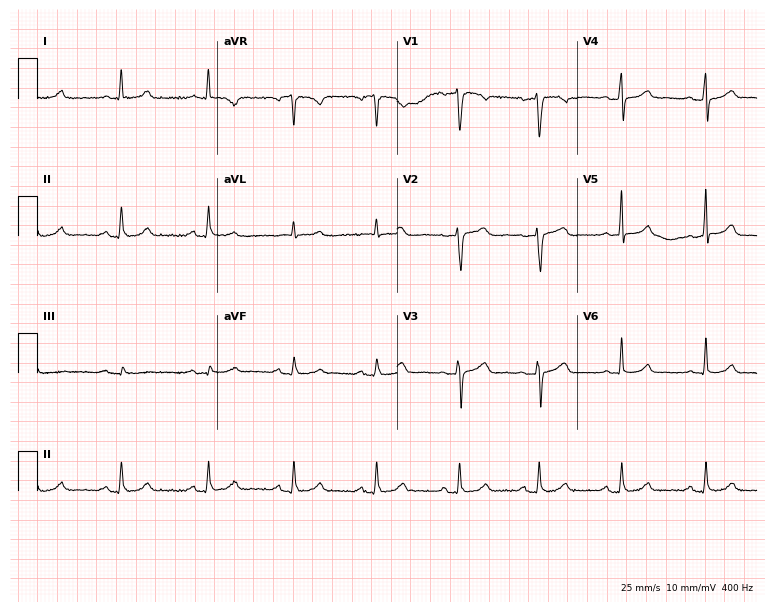
12-lead ECG from a female patient, 43 years old. Screened for six findings — first-degree AV block, right bundle branch block (RBBB), left bundle branch block (LBBB), sinus bradycardia, atrial fibrillation (AF), sinus tachycardia — none is recorded. Findings outside these six are not listed.